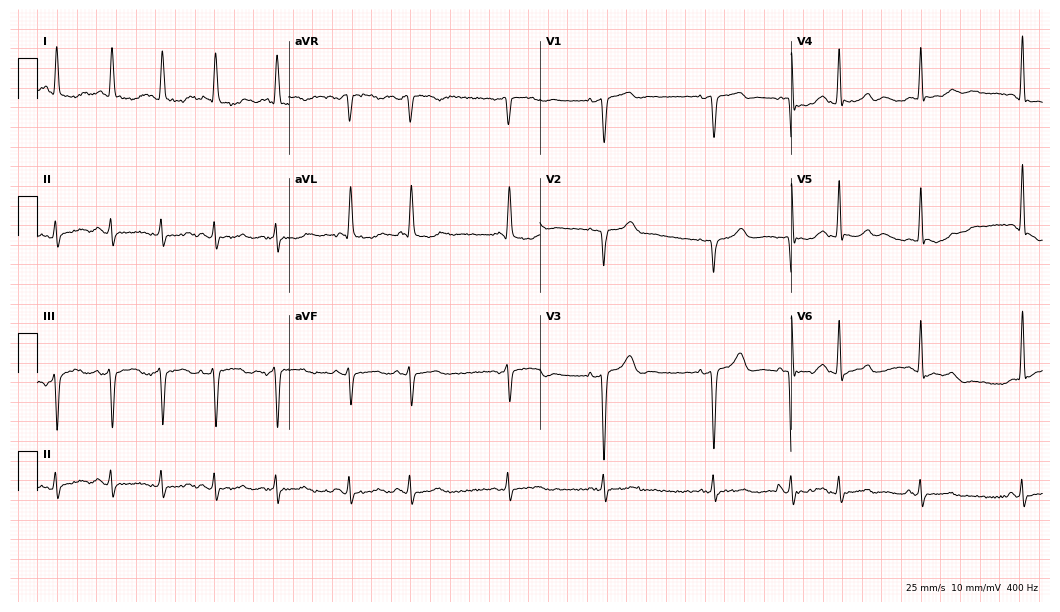
ECG (10.2-second recording at 400 Hz) — a woman, 80 years old. Screened for six findings — first-degree AV block, right bundle branch block, left bundle branch block, sinus bradycardia, atrial fibrillation, sinus tachycardia — none is recorded.